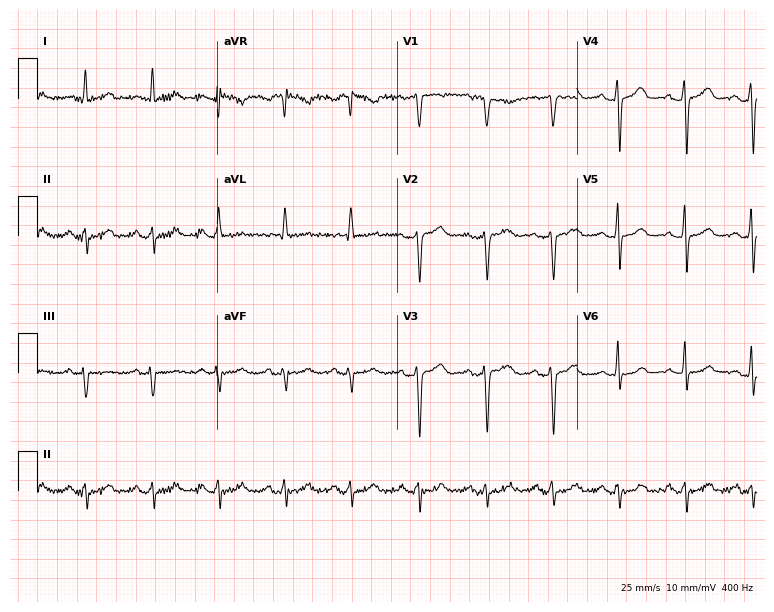
ECG (7.3-second recording at 400 Hz) — a 57-year-old female patient. Screened for six findings — first-degree AV block, right bundle branch block, left bundle branch block, sinus bradycardia, atrial fibrillation, sinus tachycardia — none is recorded.